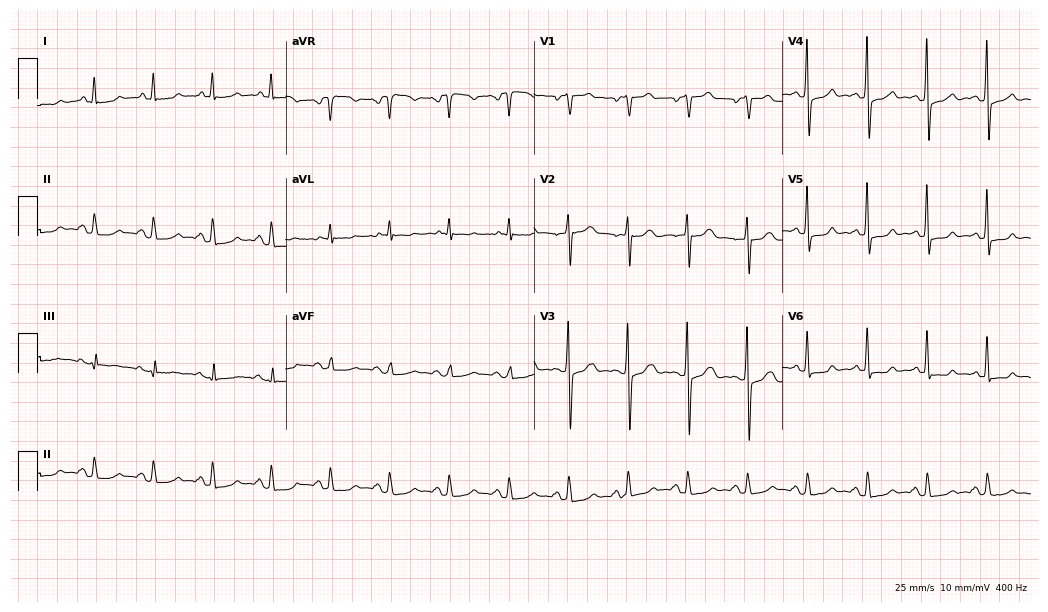
12-lead ECG from a woman, 71 years old. Screened for six findings — first-degree AV block, right bundle branch block, left bundle branch block, sinus bradycardia, atrial fibrillation, sinus tachycardia — none is recorded. Only these six findings were labelled.